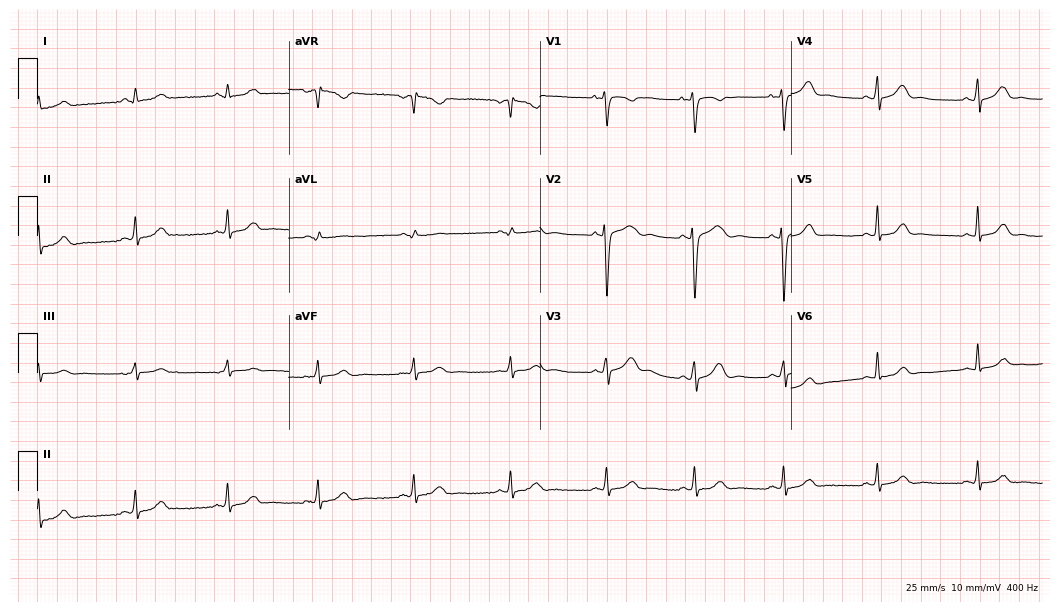
ECG — a female, 31 years old. Labelled as a normal ECG.